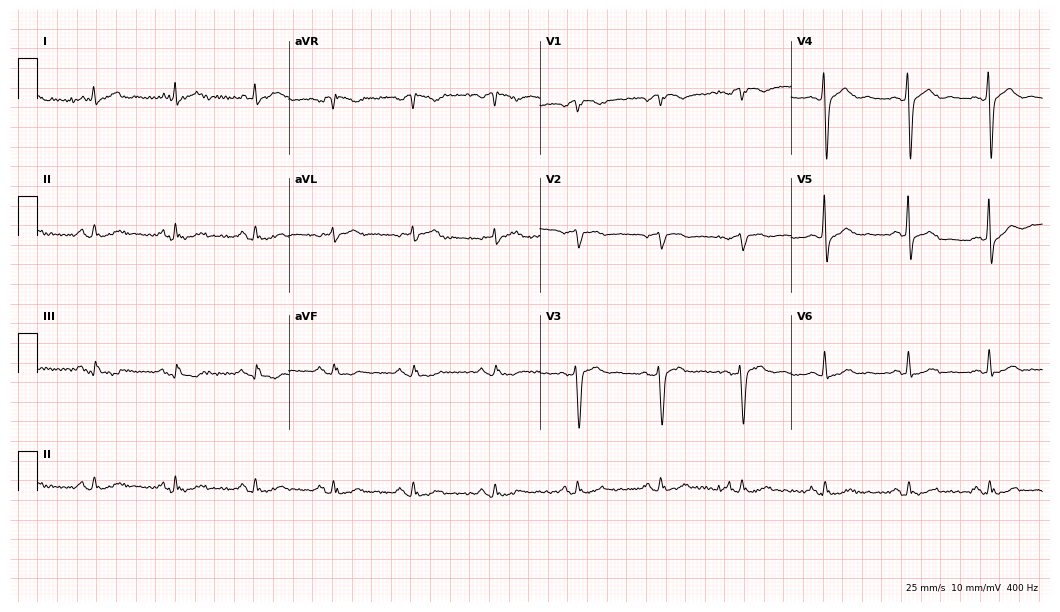
Electrocardiogram (10.2-second recording at 400 Hz), a man, 60 years old. Overall reading on record: normal ECG.